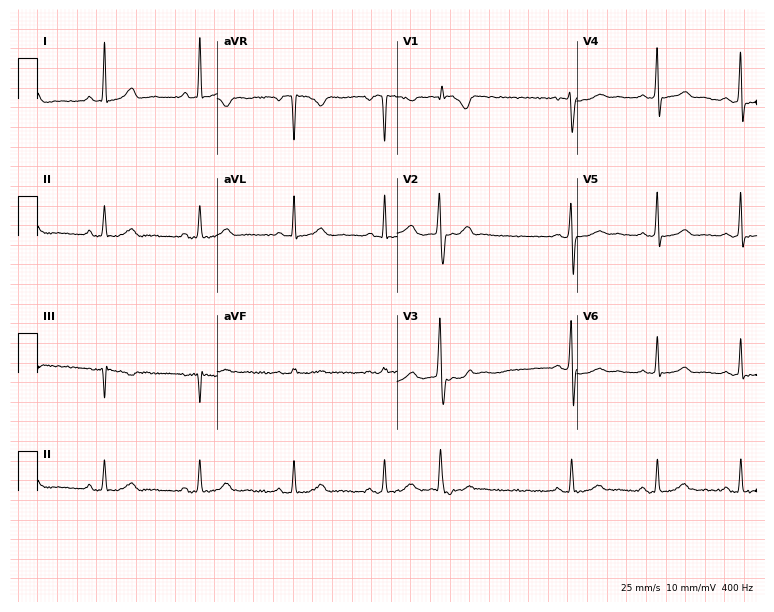
12-lead ECG from a 28-year-old woman (7.3-second recording at 400 Hz). No first-degree AV block, right bundle branch block (RBBB), left bundle branch block (LBBB), sinus bradycardia, atrial fibrillation (AF) or sinus tachycardia recorded for this tracing. Only these six findings were labelled.